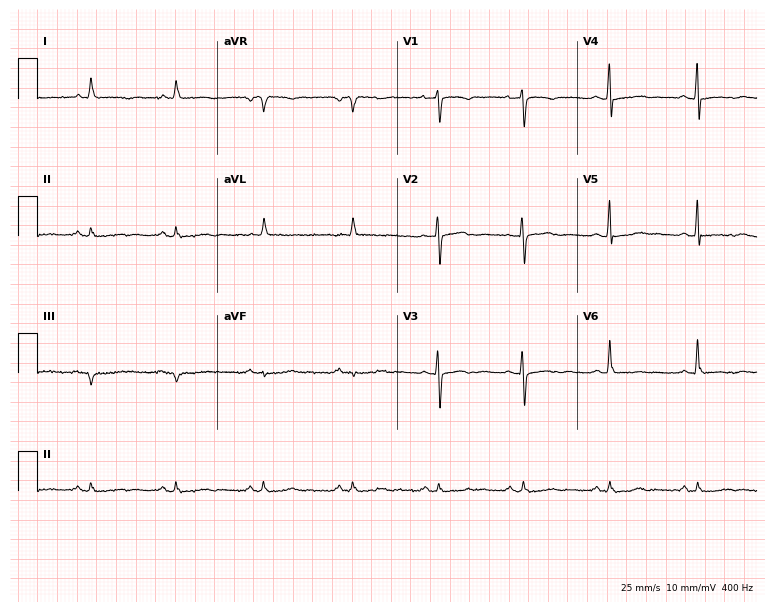
12-lead ECG from a woman, 52 years old. Screened for six findings — first-degree AV block, right bundle branch block, left bundle branch block, sinus bradycardia, atrial fibrillation, sinus tachycardia — none is recorded.